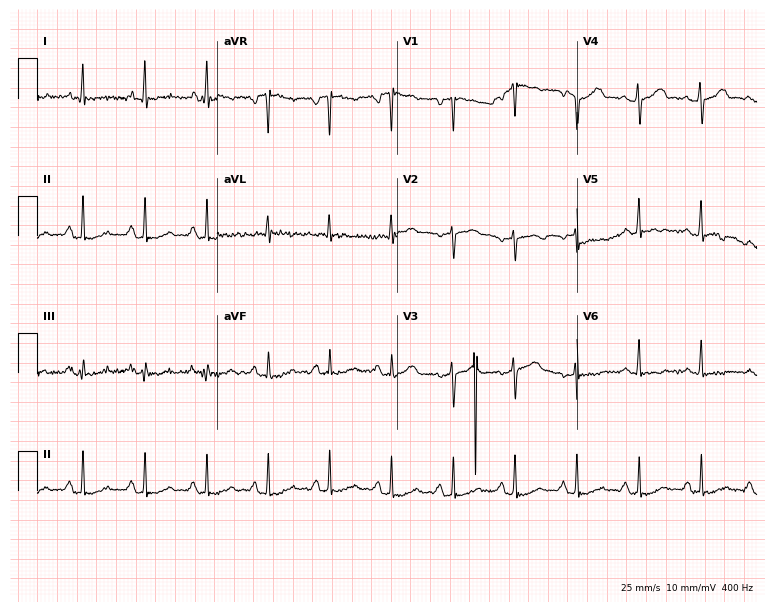
12-lead ECG (7.3-second recording at 400 Hz) from a 49-year-old woman. Screened for six findings — first-degree AV block, right bundle branch block (RBBB), left bundle branch block (LBBB), sinus bradycardia, atrial fibrillation (AF), sinus tachycardia — none is recorded. Only these six findings were labelled.